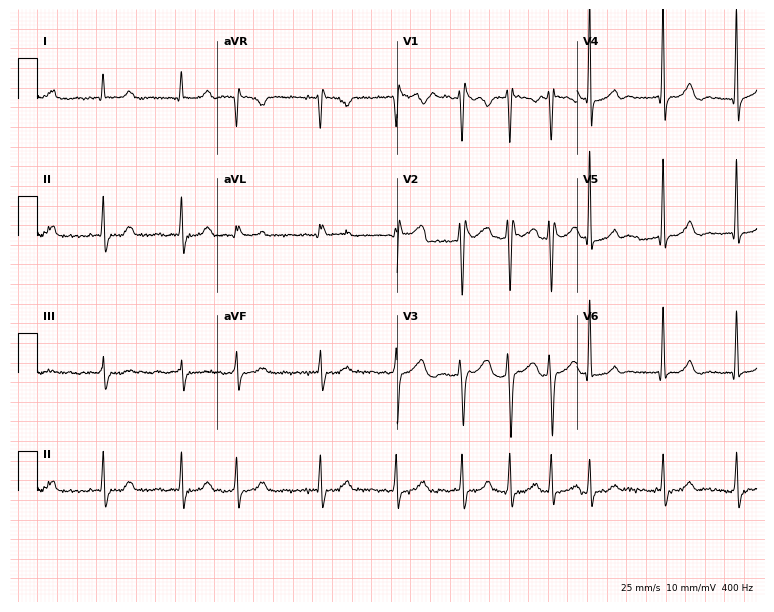
12-lead ECG from a 64-year-old male patient. Shows atrial fibrillation.